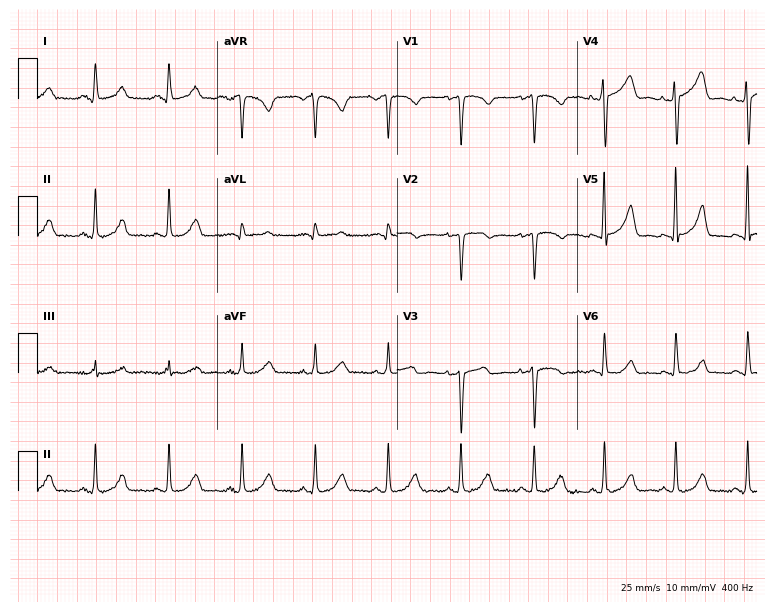
ECG (7.3-second recording at 400 Hz) — a 49-year-old woman. Screened for six findings — first-degree AV block, right bundle branch block, left bundle branch block, sinus bradycardia, atrial fibrillation, sinus tachycardia — none is recorded. Other findings, if any, are not listed.